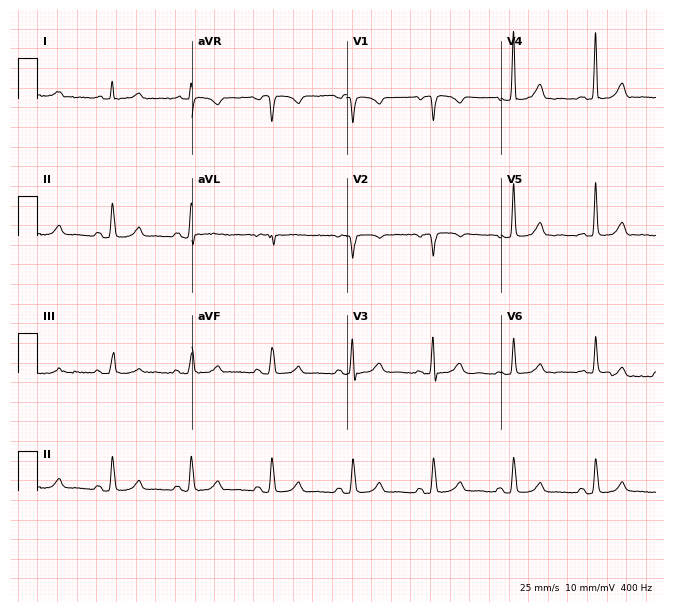
12-lead ECG from a woman, 61 years old. Labelled as a normal ECG.